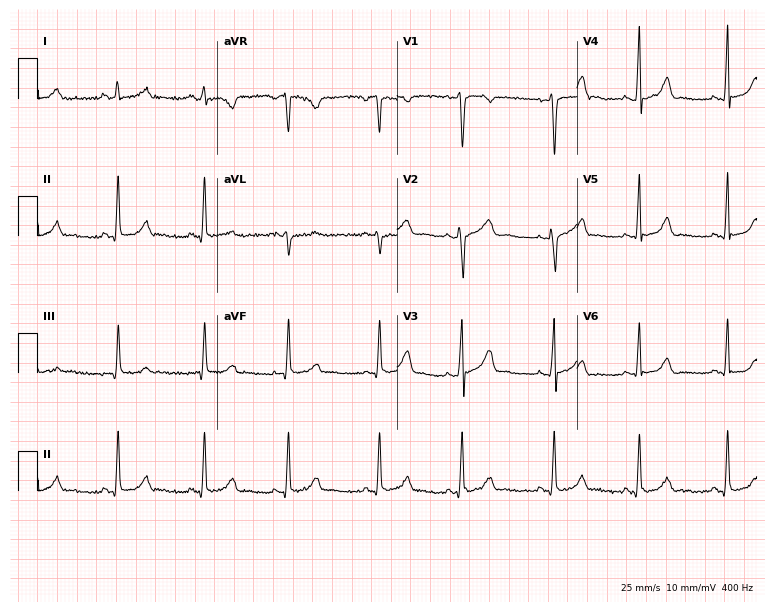
12-lead ECG from a female patient, 18 years old. Screened for six findings — first-degree AV block, right bundle branch block (RBBB), left bundle branch block (LBBB), sinus bradycardia, atrial fibrillation (AF), sinus tachycardia — none is recorded.